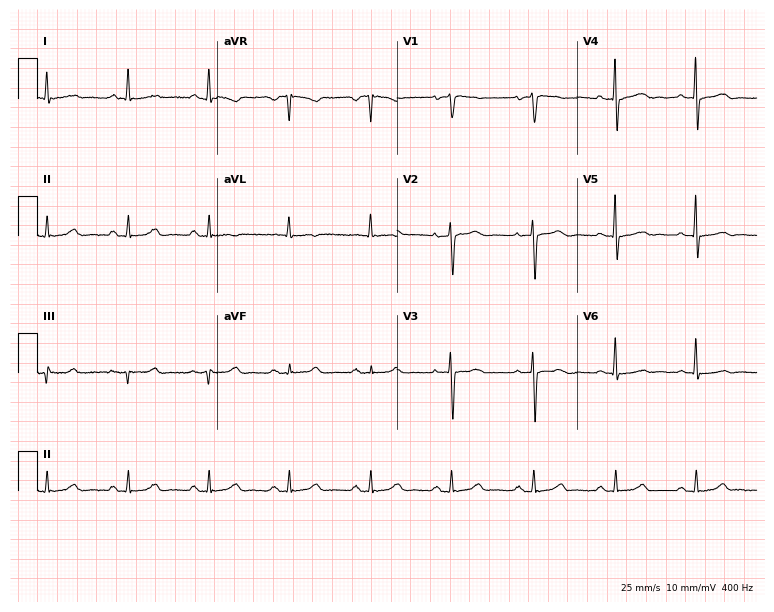
12-lead ECG from a 67-year-old female. No first-degree AV block, right bundle branch block, left bundle branch block, sinus bradycardia, atrial fibrillation or sinus tachycardia recorded for this tracing.